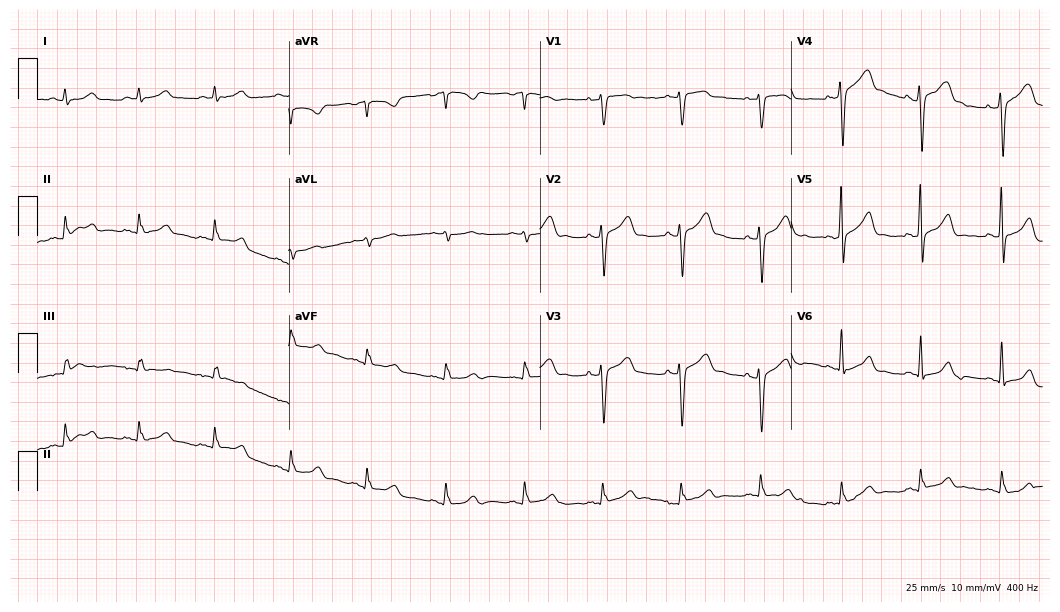
ECG (10.2-second recording at 400 Hz) — a 42-year-old male patient. Labelled as a normal ECG.